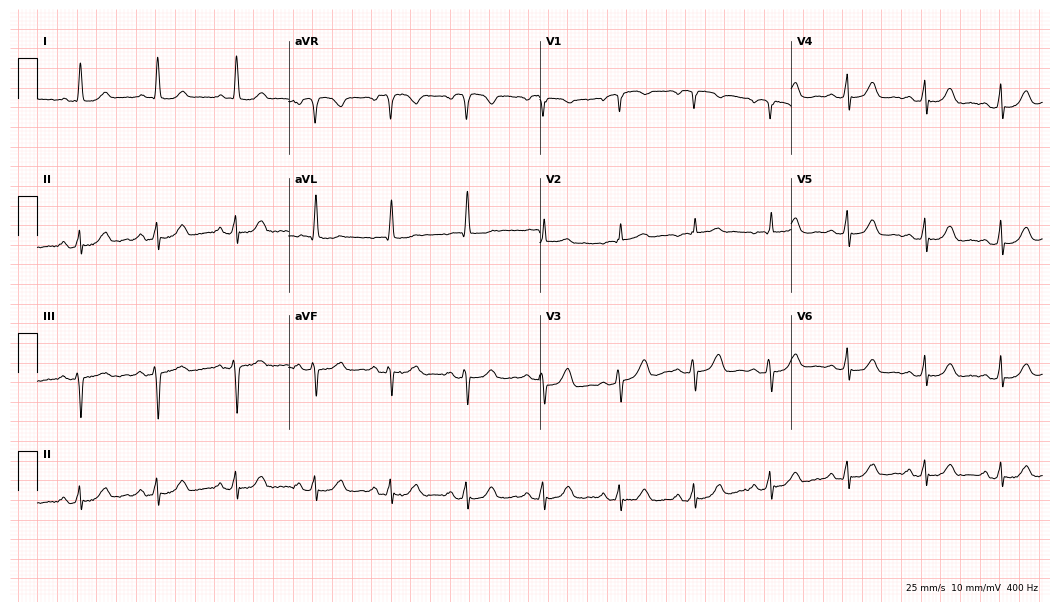
12-lead ECG from a female patient, 79 years old. Recorded interpretation: within normal limits.